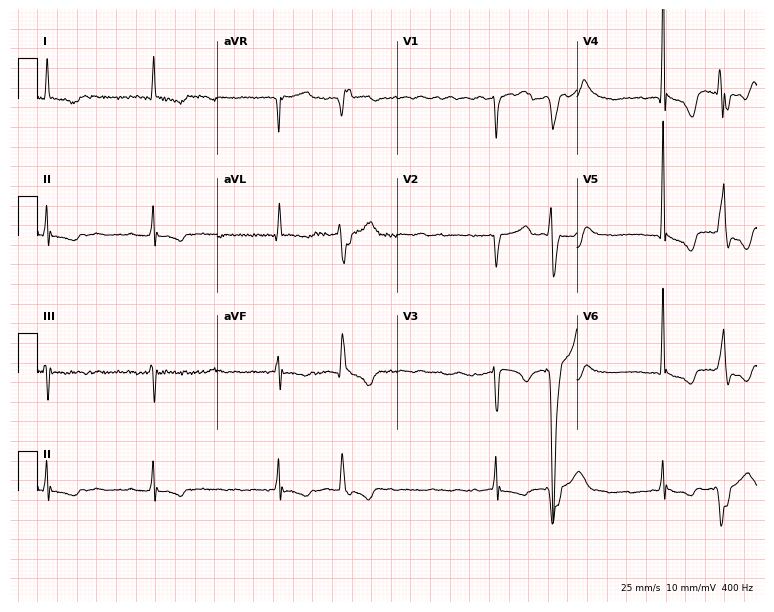
Electrocardiogram, a male patient, 75 years old. Of the six screened findings (first-degree AV block, right bundle branch block (RBBB), left bundle branch block (LBBB), sinus bradycardia, atrial fibrillation (AF), sinus tachycardia), none is recorded. Only these six findings were labelled.